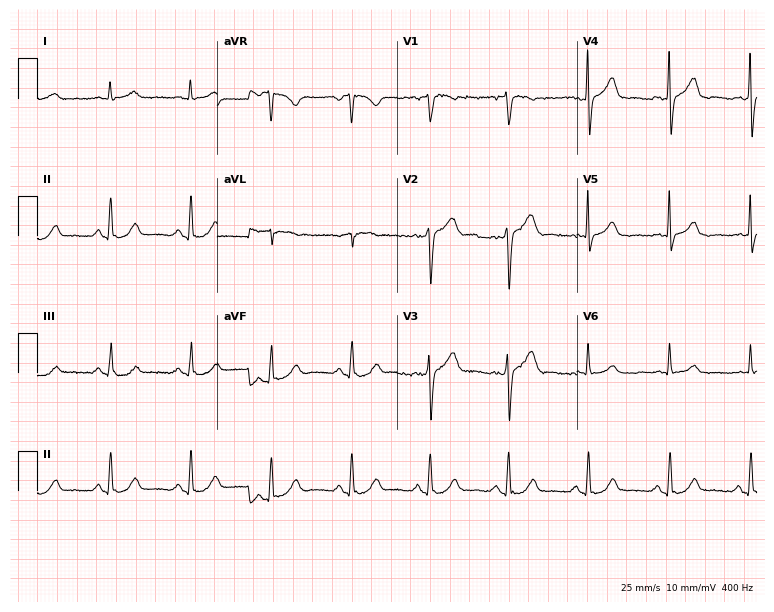
12-lead ECG (7.3-second recording at 400 Hz) from a 70-year-old male patient. Labelled as a normal ECG.